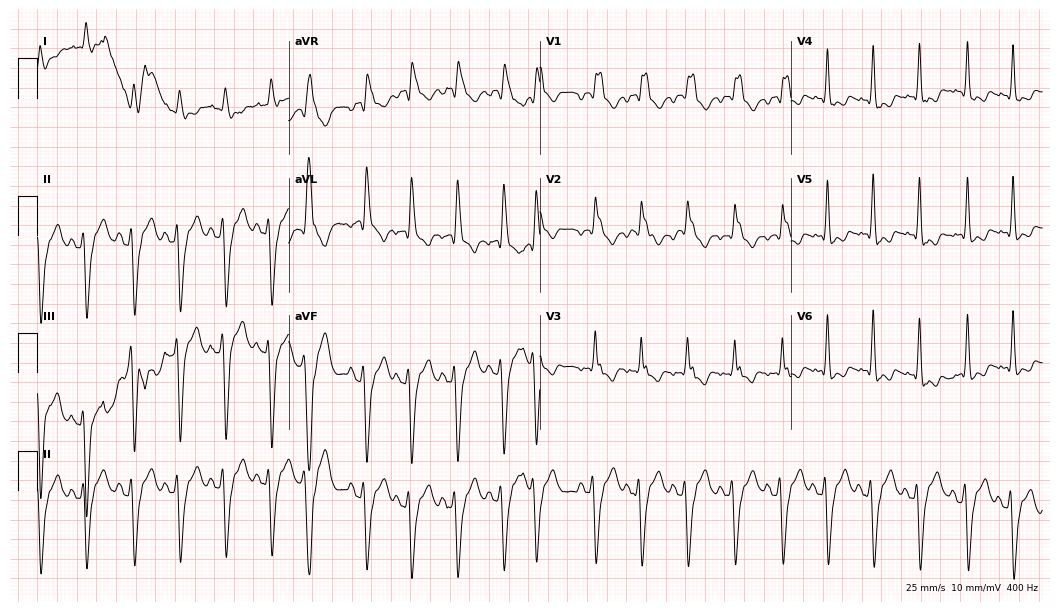
ECG — a man, 82 years old. Findings include right bundle branch block, sinus tachycardia (a sinus rate of 100 beats per minute or more).